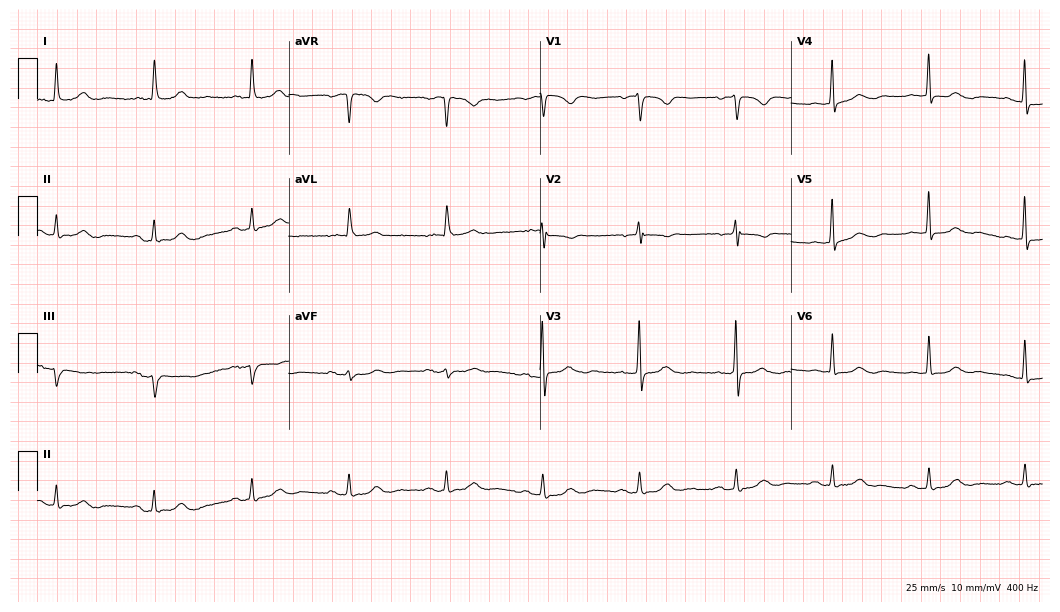
Standard 12-lead ECG recorded from a female patient, 84 years old (10.2-second recording at 400 Hz). Read as a normal ECG.